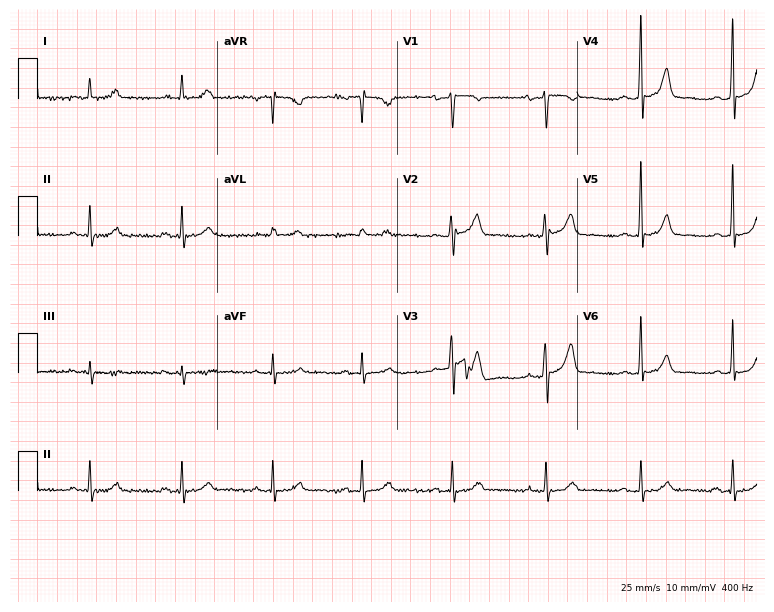
Standard 12-lead ECG recorded from a 57-year-old female. None of these six findings is recorded: first-degree AV block, right bundle branch block (RBBB), left bundle branch block (LBBB), sinus bradycardia, atrial fibrillation (AF), sinus tachycardia.